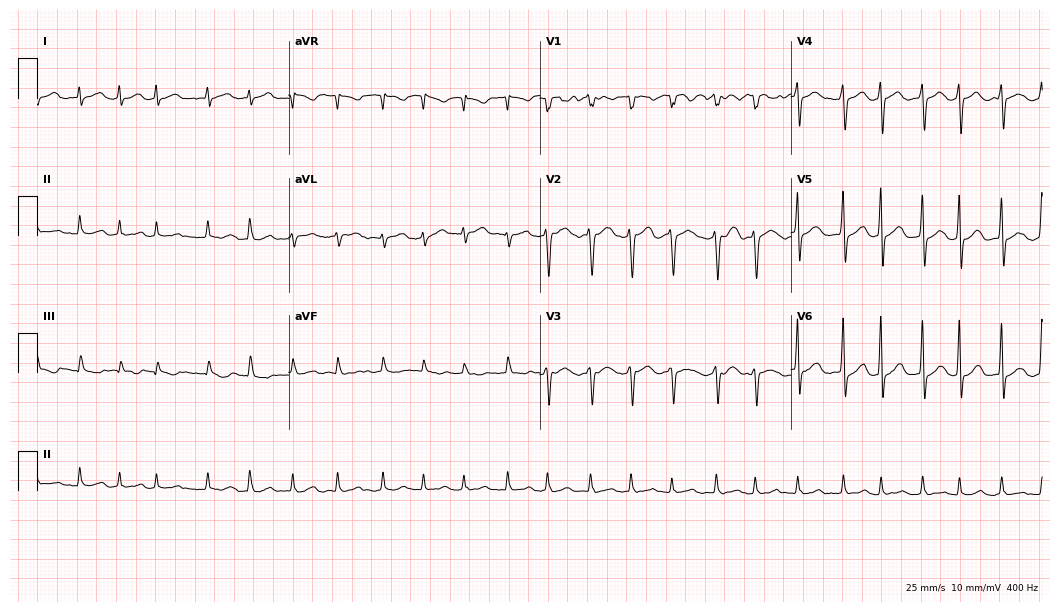
12-lead ECG (10.2-second recording at 400 Hz) from a 64-year-old female. Findings include atrial fibrillation, sinus tachycardia (a sinus rate of 100 beats per minute or more).